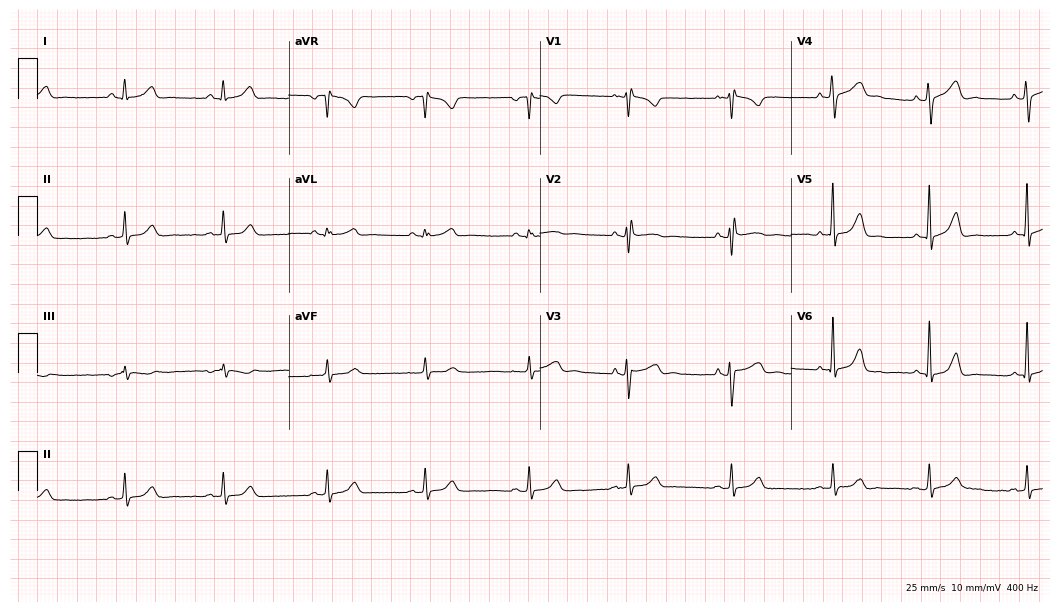
Electrocardiogram (10.2-second recording at 400 Hz), a female patient, 33 years old. Of the six screened findings (first-degree AV block, right bundle branch block, left bundle branch block, sinus bradycardia, atrial fibrillation, sinus tachycardia), none is recorded. Only these six findings were labelled.